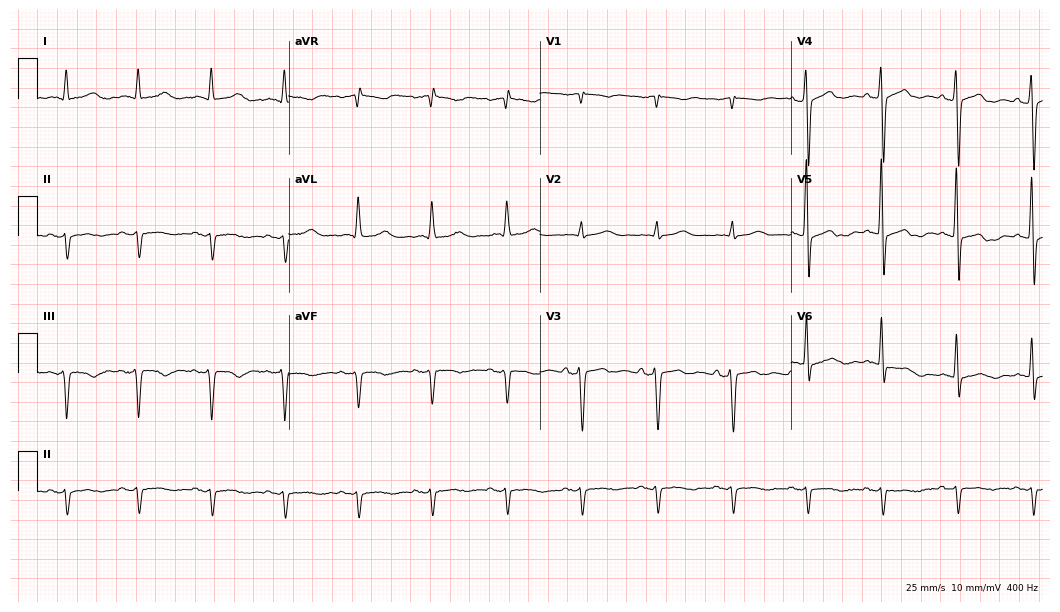
Electrocardiogram (10.2-second recording at 400 Hz), a man, 70 years old. Of the six screened findings (first-degree AV block, right bundle branch block, left bundle branch block, sinus bradycardia, atrial fibrillation, sinus tachycardia), none is recorded. Other findings, if any, are not listed.